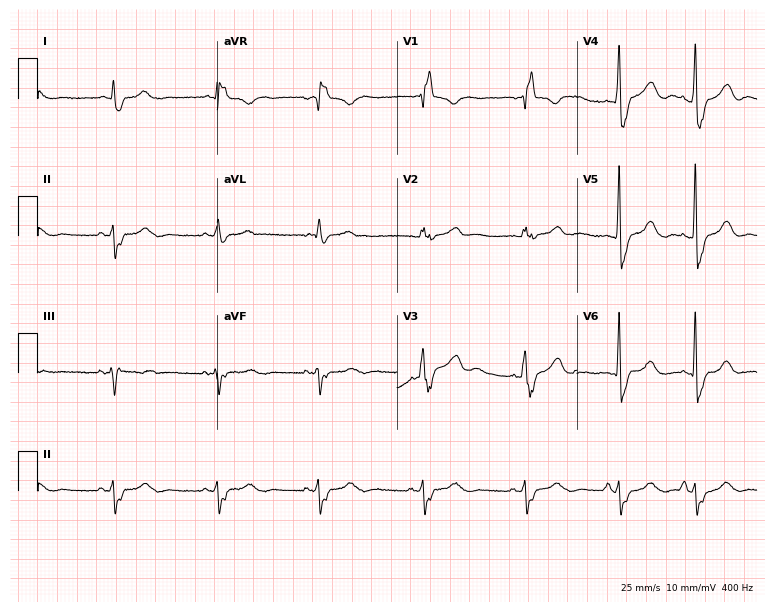
ECG — a man, 69 years old. Screened for six findings — first-degree AV block, right bundle branch block, left bundle branch block, sinus bradycardia, atrial fibrillation, sinus tachycardia — none is recorded.